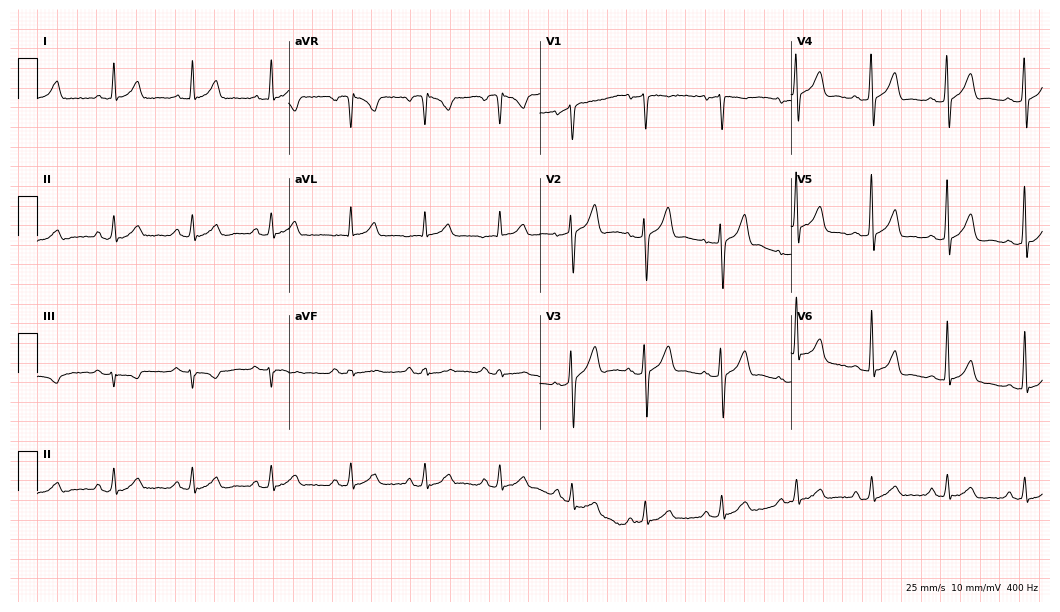
ECG (10.2-second recording at 400 Hz) — a 49-year-old male. Labelled as a normal ECG.